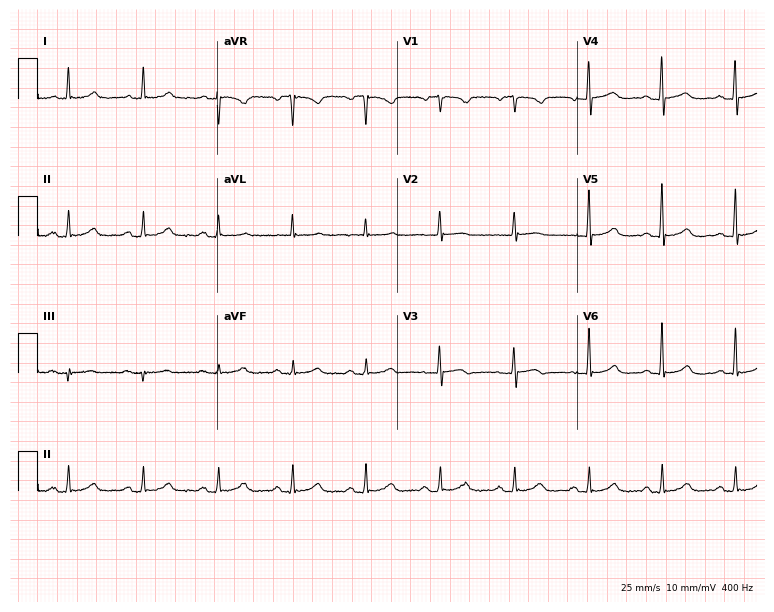
Standard 12-lead ECG recorded from a female patient, 69 years old (7.3-second recording at 400 Hz). Read as a normal ECG.